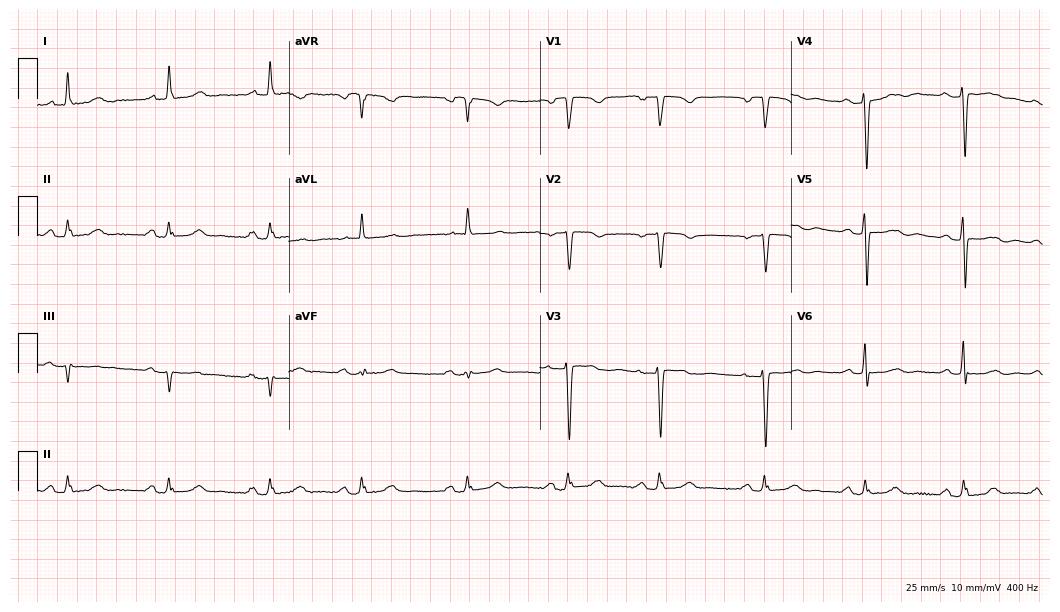
Standard 12-lead ECG recorded from a 64-year-old woman. Read as a normal ECG.